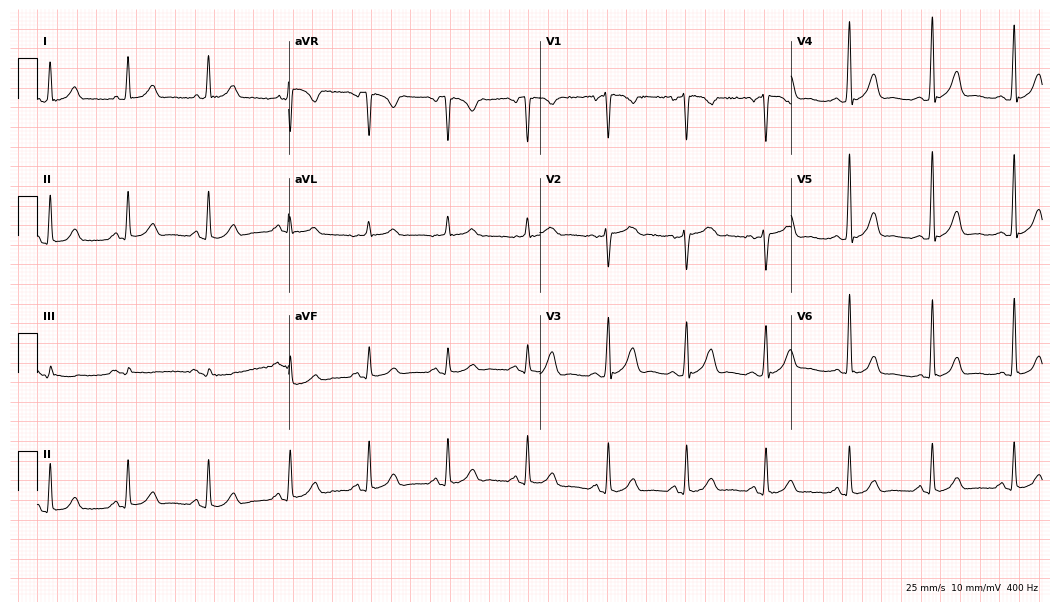
12-lead ECG from a male patient, 64 years old (10.2-second recording at 400 Hz). No first-degree AV block, right bundle branch block, left bundle branch block, sinus bradycardia, atrial fibrillation or sinus tachycardia recorded for this tracing.